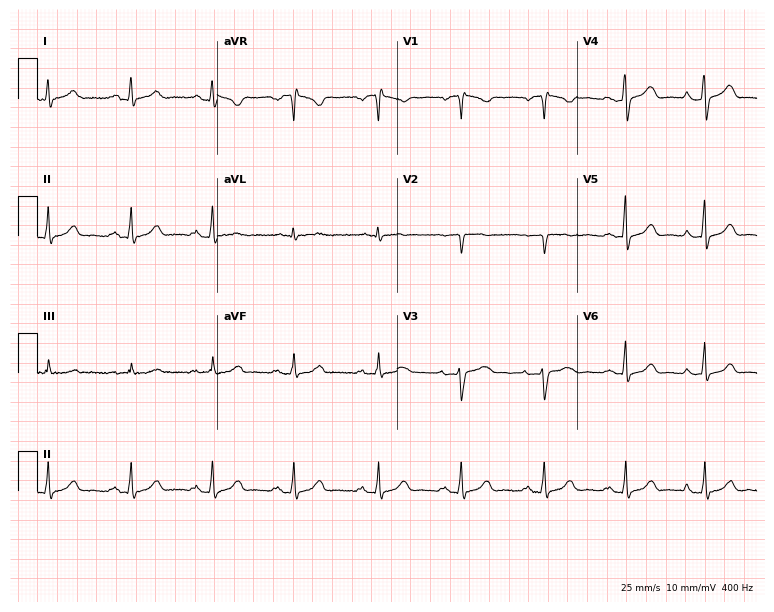
12-lead ECG from a 31-year-old woman (7.3-second recording at 400 Hz). No first-degree AV block, right bundle branch block, left bundle branch block, sinus bradycardia, atrial fibrillation or sinus tachycardia recorded for this tracing.